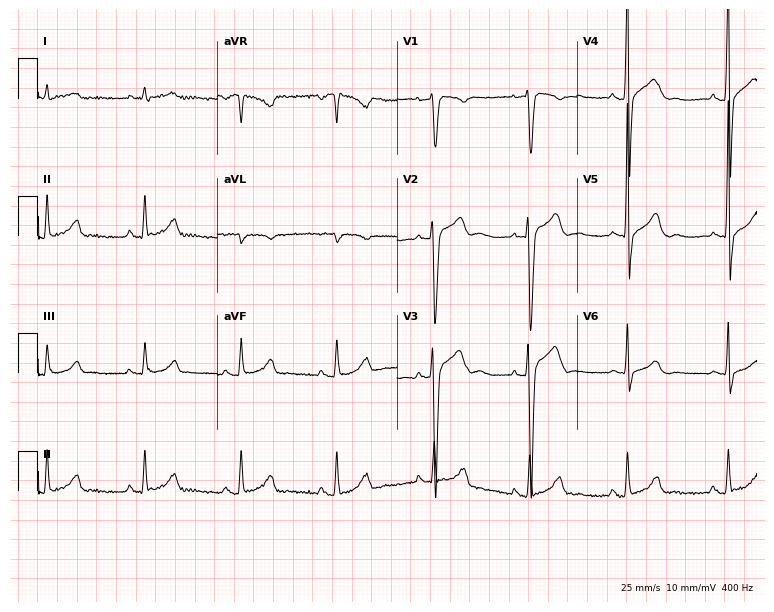
Electrocardiogram, a man, 40 years old. Of the six screened findings (first-degree AV block, right bundle branch block, left bundle branch block, sinus bradycardia, atrial fibrillation, sinus tachycardia), none is recorded.